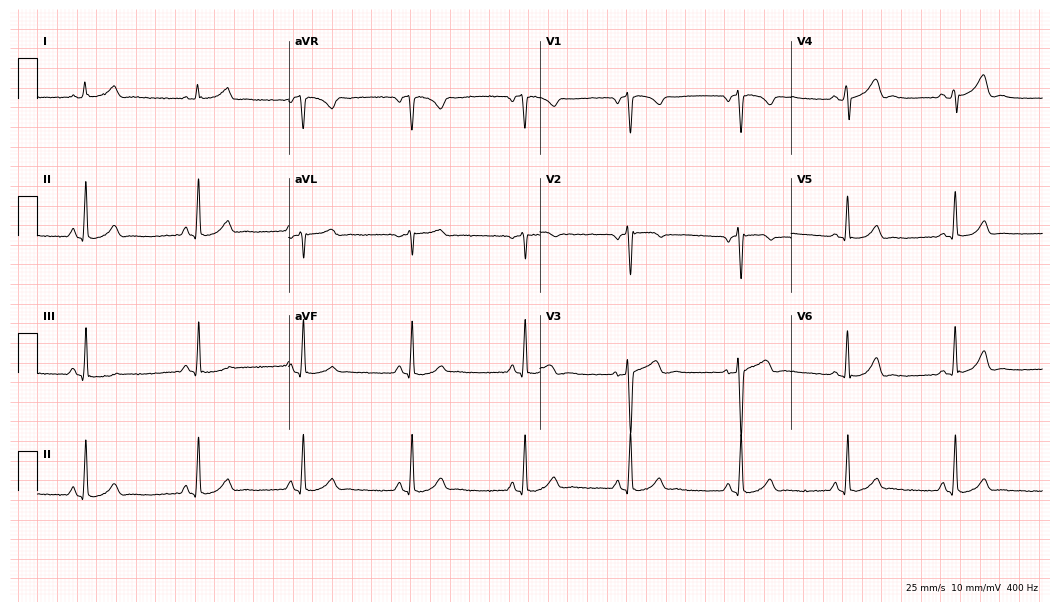
12-lead ECG from a 37-year-old female patient. Labelled as a normal ECG.